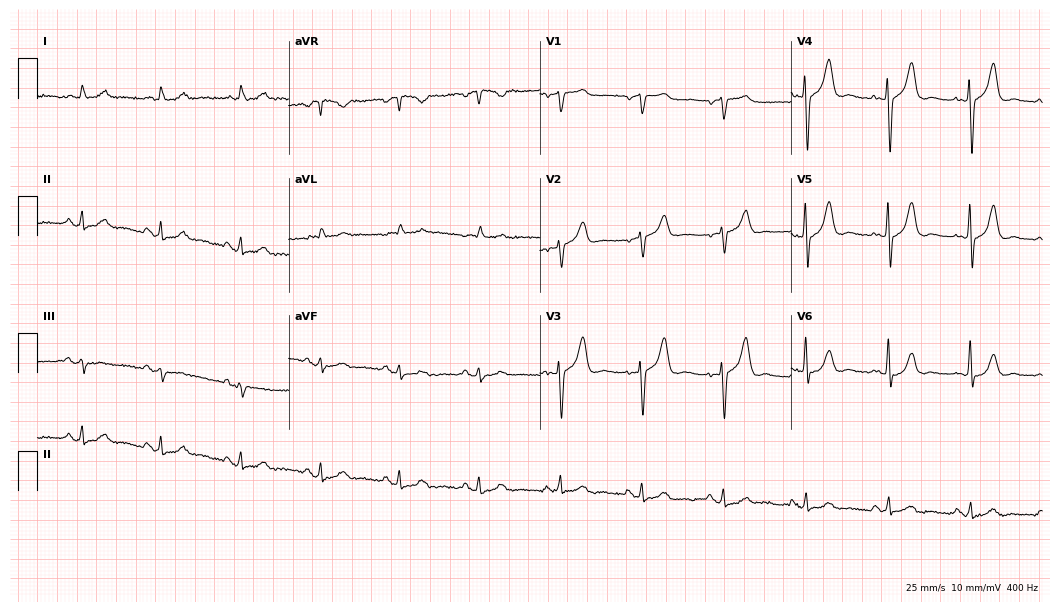
12-lead ECG (10.2-second recording at 400 Hz) from an 81-year-old man. Labelled as a normal ECG.